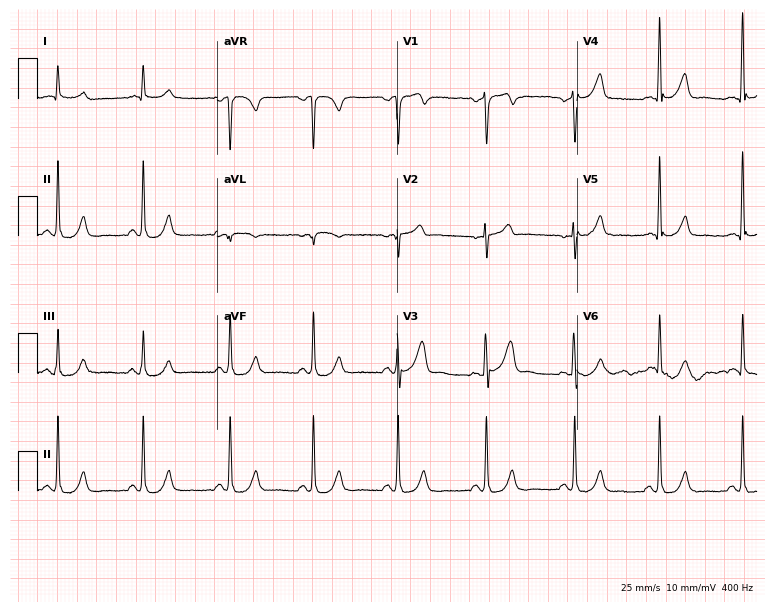
12-lead ECG from a male, 79 years old. Screened for six findings — first-degree AV block, right bundle branch block, left bundle branch block, sinus bradycardia, atrial fibrillation, sinus tachycardia — none is recorded.